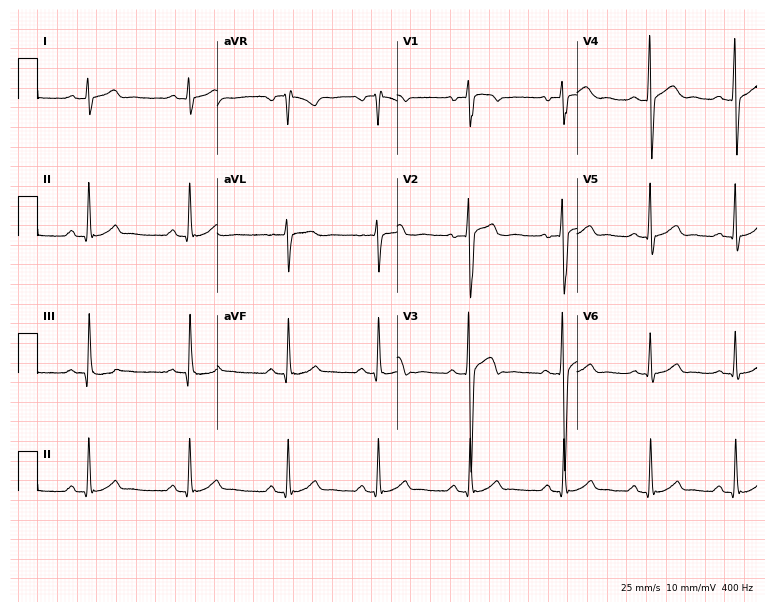
Resting 12-lead electrocardiogram. Patient: a male, 22 years old. Read as a normal ECG.